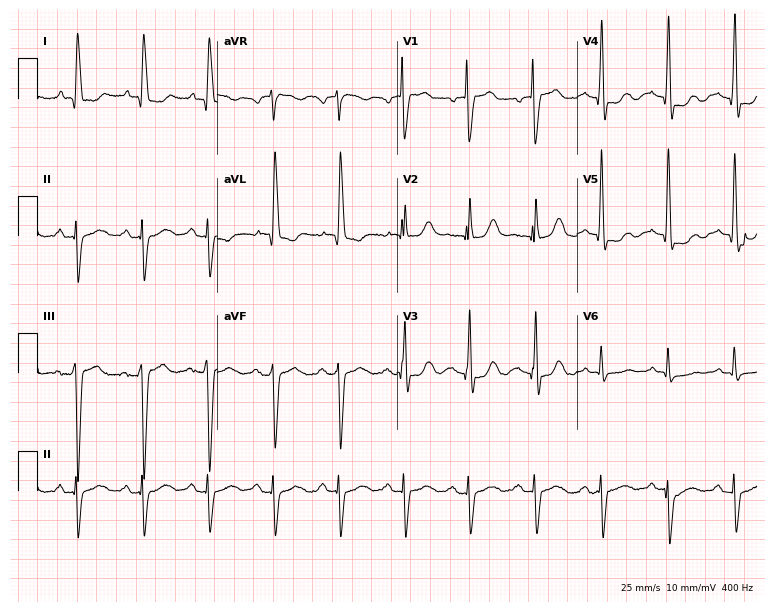
Resting 12-lead electrocardiogram (7.3-second recording at 400 Hz). Patient: a 77-year-old female. None of these six findings is recorded: first-degree AV block, right bundle branch block (RBBB), left bundle branch block (LBBB), sinus bradycardia, atrial fibrillation (AF), sinus tachycardia. Only these six findings were labelled.